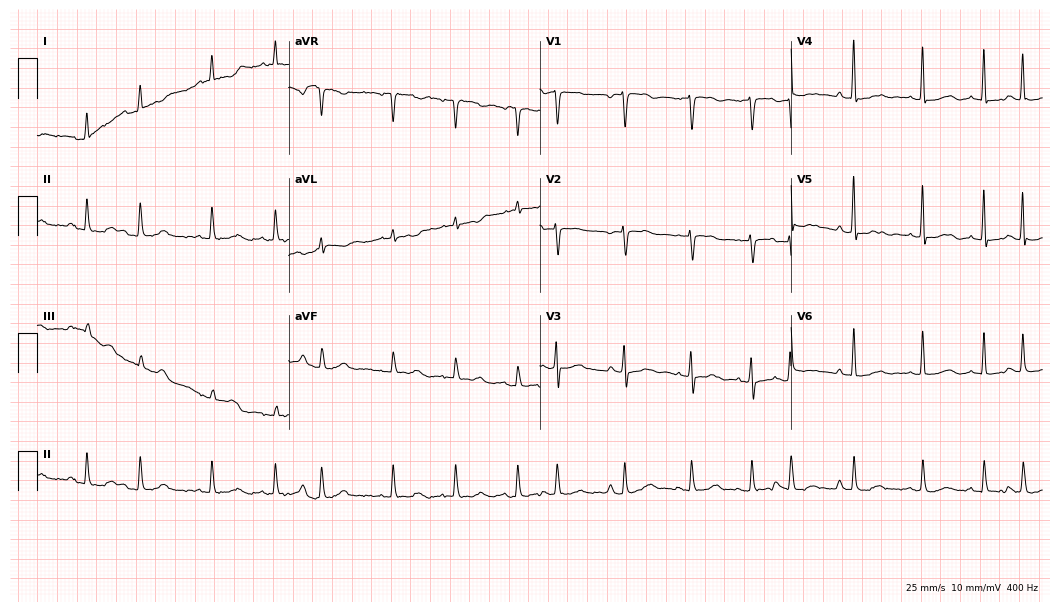
12-lead ECG from a female, 78 years old. Screened for six findings — first-degree AV block, right bundle branch block, left bundle branch block, sinus bradycardia, atrial fibrillation, sinus tachycardia — none is recorded.